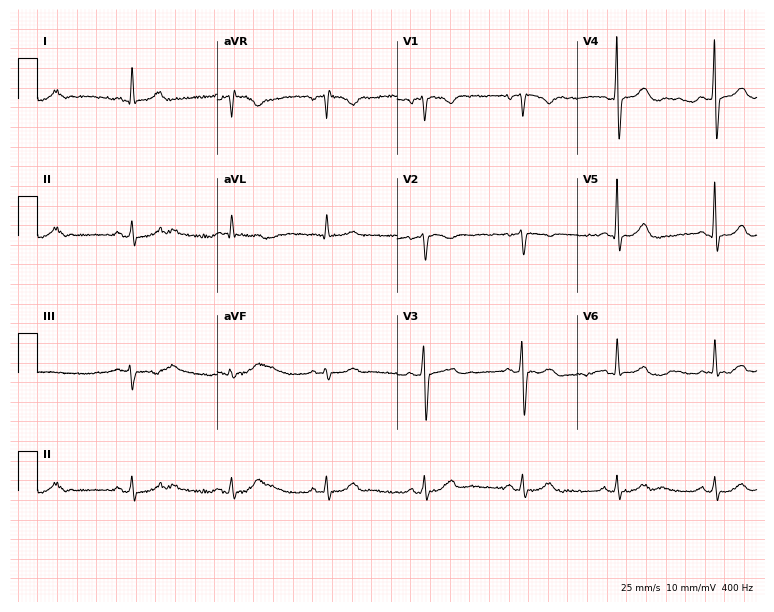
12-lead ECG from a 52-year-old male. No first-degree AV block, right bundle branch block, left bundle branch block, sinus bradycardia, atrial fibrillation or sinus tachycardia recorded for this tracing. Other findings, if any, are not listed.